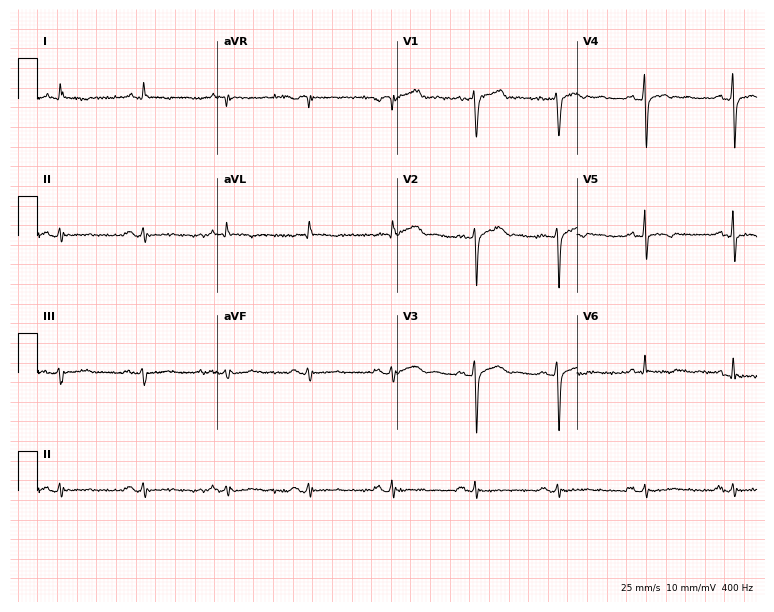
12-lead ECG from a man, 81 years old (7.3-second recording at 400 Hz). Recorded interpretation: within normal limits.